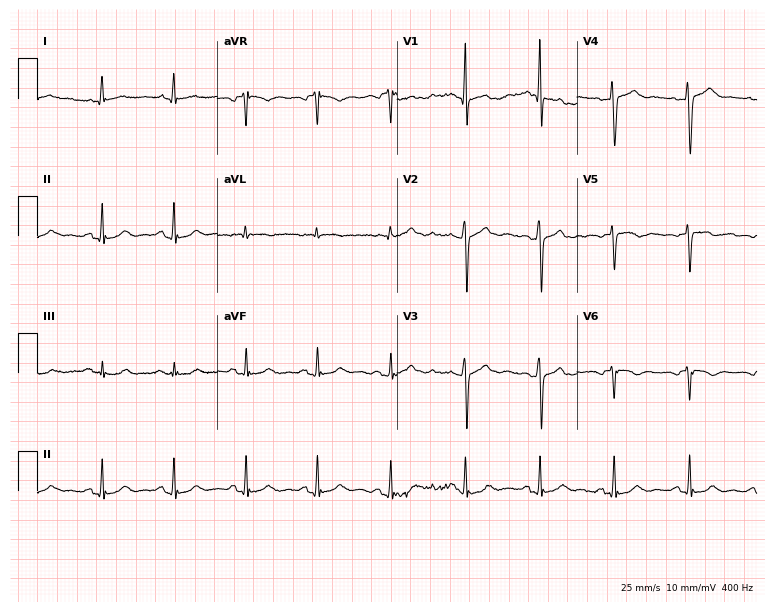
12-lead ECG (7.3-second recording at 400 Hz) from a 66-year-old female. Screened for six findings — first-degree AV block, right bundle branch block, left bundle branch block, sinus bradycardia, atrial fibrillation, sinus tachycardia — none is recorded. Findings outside these six are not listed.